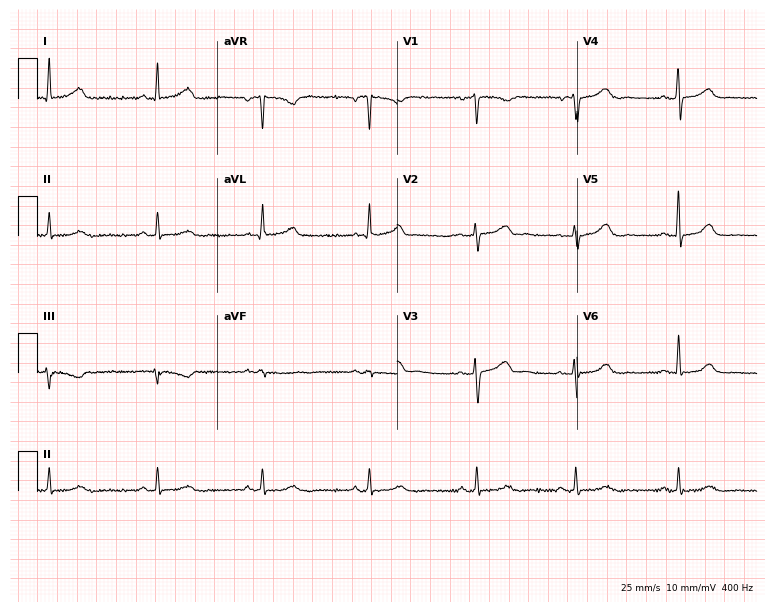
ECG (7.3-second recording at 400 Hz) — a female, 50 years old. Labelled as a normal ECG.